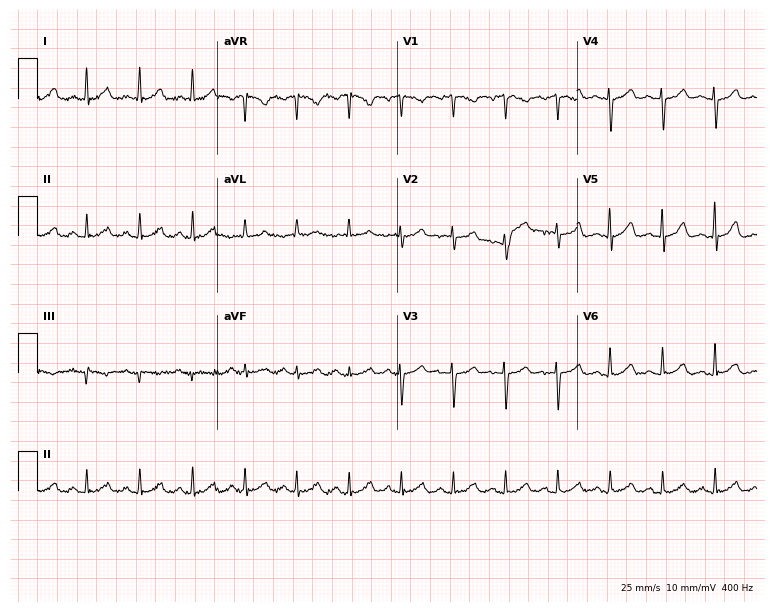
ECG (7.3-second recording at 400 Hz) — a 65-year-old female. Screened for six findings — first-degree AV block, right bundle branch block, left bundle branch block, sinus bradycardia, atrial fibrillation, sinus tachycardia — none is recorded. Other findings, if any, are not listed.